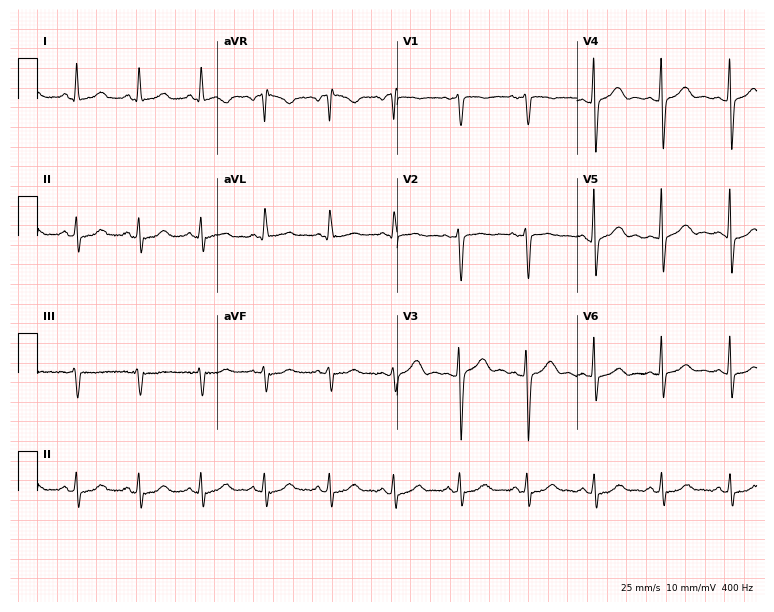
12-lead ECG (7.3-second recording at 400 Hz) from a woman, 42 years old. Screened for six findings — first-degree AV block, right bundle branch block, left bundle branch block, sinus bradycardia, atrial fibrillation, sinus tachycardia — none is recorded.